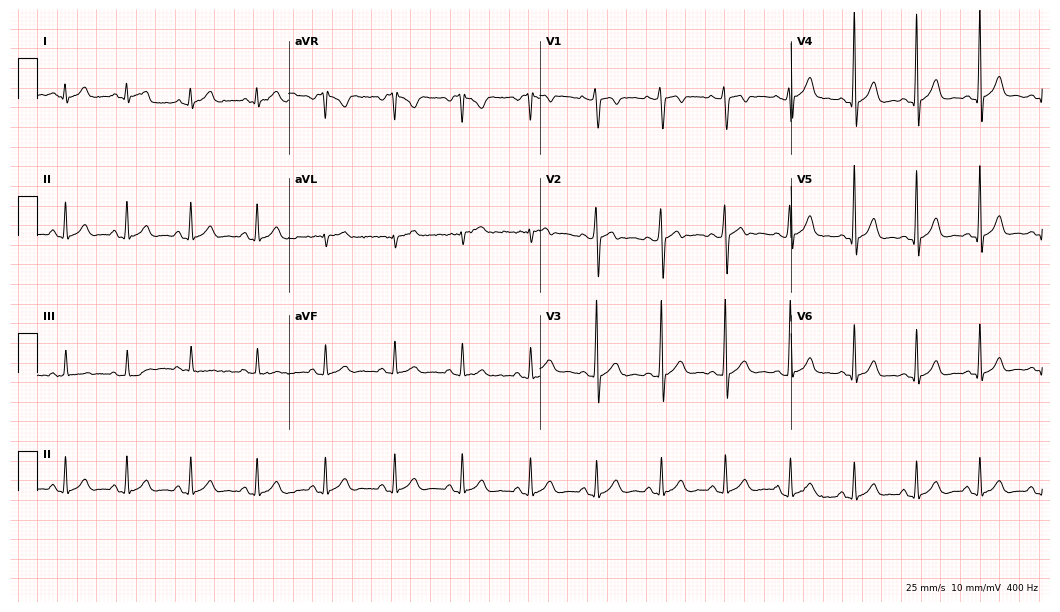
Resting 12-lead electrocardiogram. Patient: a male, 19 years old. None of these six findings is recorded: first-degree AV block, right bundle branch block, left bundle branch block, sinus bradycardia, atrial fibrillation, sinus tachycardia.